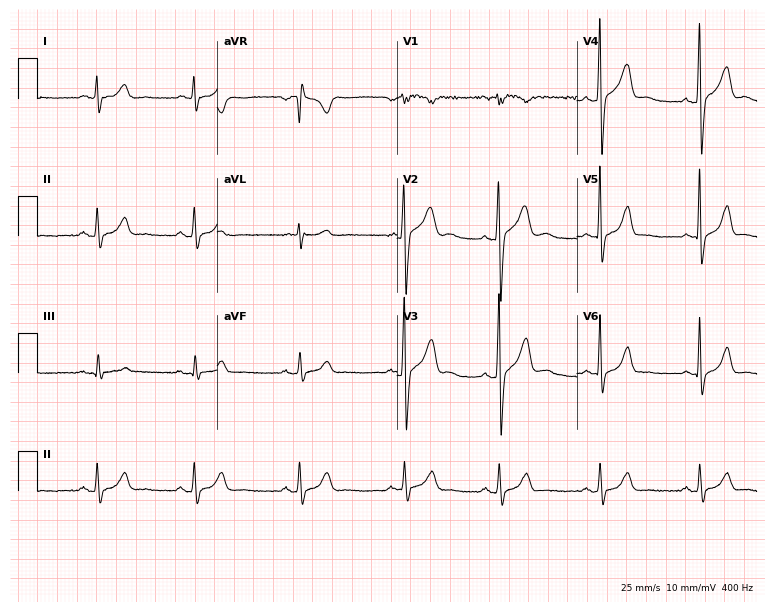
Electrocardiogram (7.3-second recording at 400 Hz), a 28-year-old man. Overall reading on record: normal ECG.